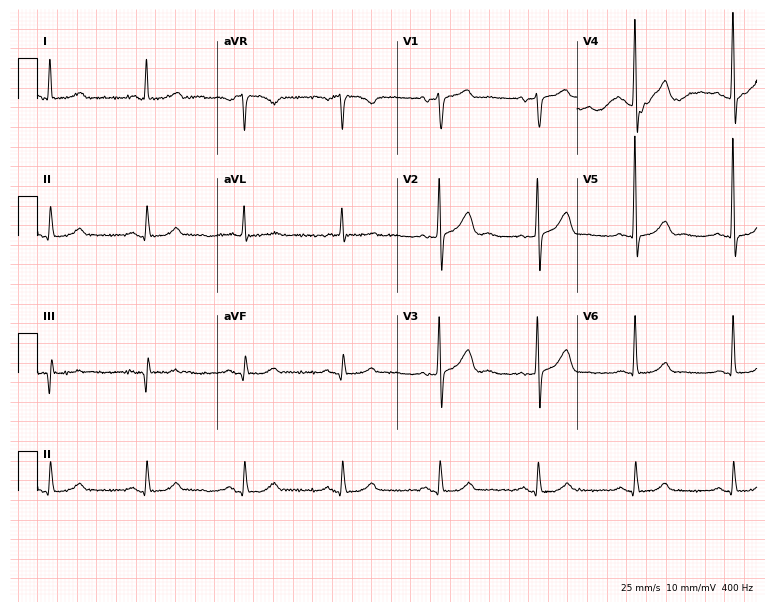
12-lead ECG (7.3-second recording at 400 Hz) from a woman, 69 years old. Screened for six findings — first-degree AV block, right bundle branch block (RBBB), left bundle branch block (LBBB), sinus bradycardia, atrial fibrillation (AF), sinus tachycardia — none is recorded. Other findings, if any, are not listed.